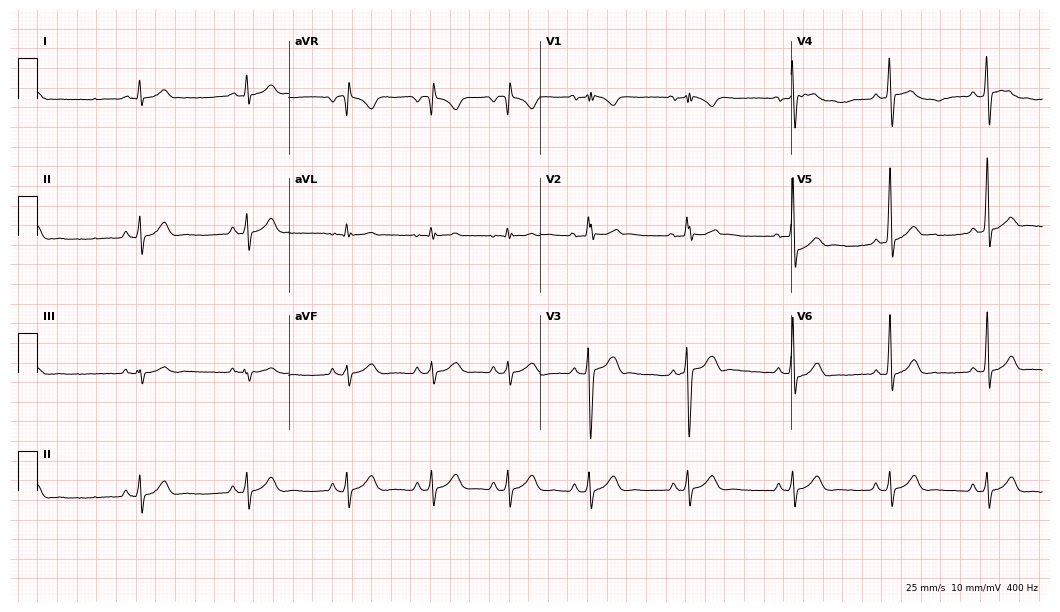
ECG — an 18-year-old man. Labelled as a normal ECG.